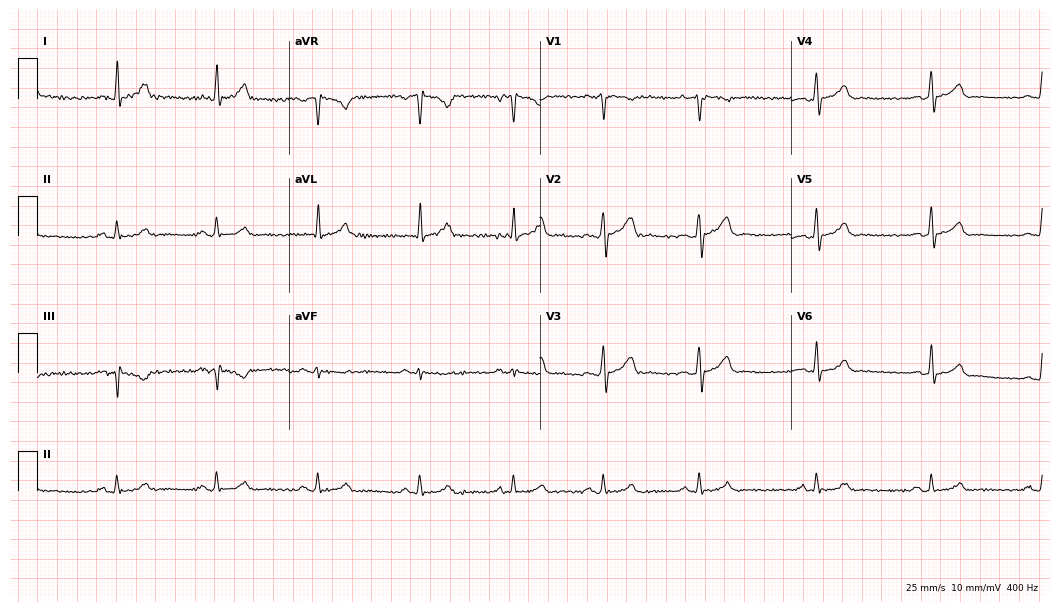
Standard 12-lead ECG recorded from a 30-year-old male patient. Read as a normal ECG.